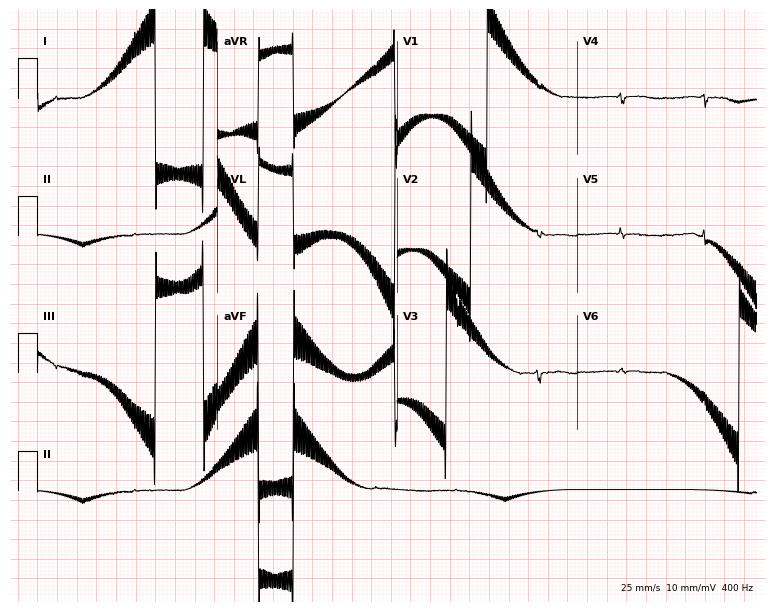
Standard 12-lead ECG recorded from a 33-year-old female patient (7.3-second recording at 400 Hz). None of these six findings is recorded: first-degree AV block, right bundle branch block, left bundle branch block, sinus bradycardia, atrial fibrillation, sinus tachycardia.